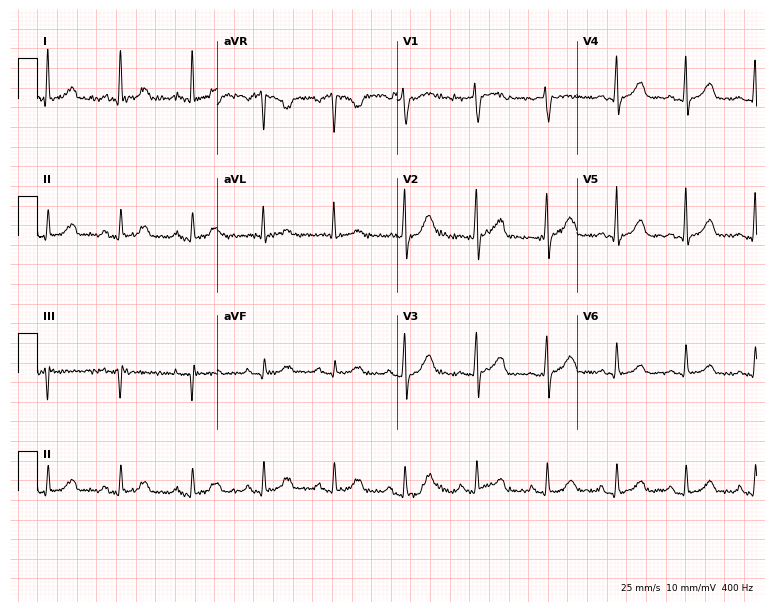
Resting 12-lead electrocardiogram (7.3-second recording at 400 Hz). Patient: a 69-year-old female. Read as a normal ECG.